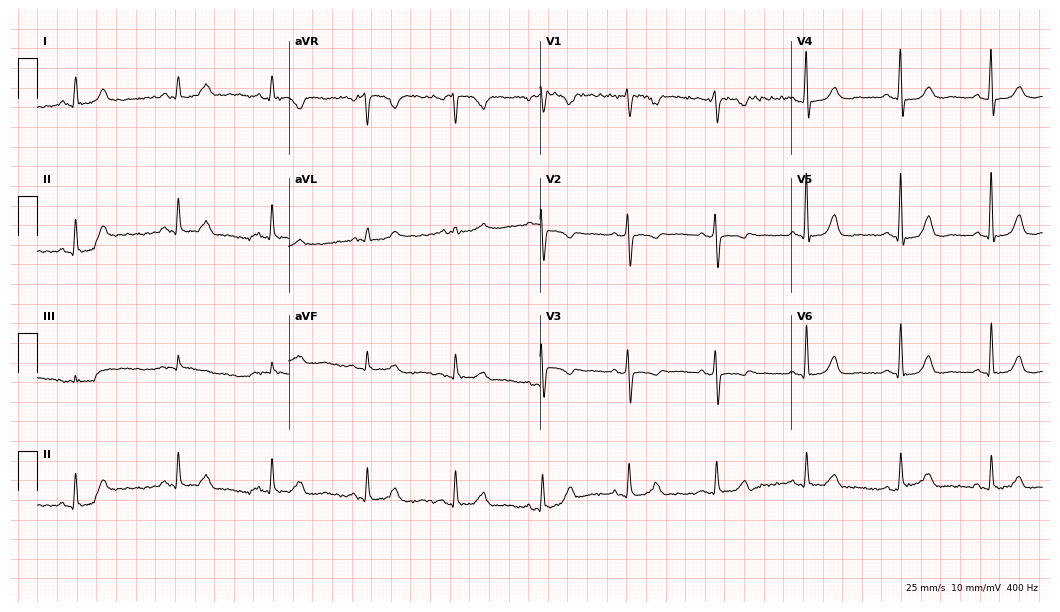
12-lead ECG (10.2-second recording at 400 Hz) from a woman, 72 years old. Screened for six findings — first-degree AV block, right bundle branch block (RBBB), left bundle branch block (LBBB), sinus bradycardia, atrial fibrillation (AF), sinus tachycardia — none is recorded. Findings outside these six are not listed.